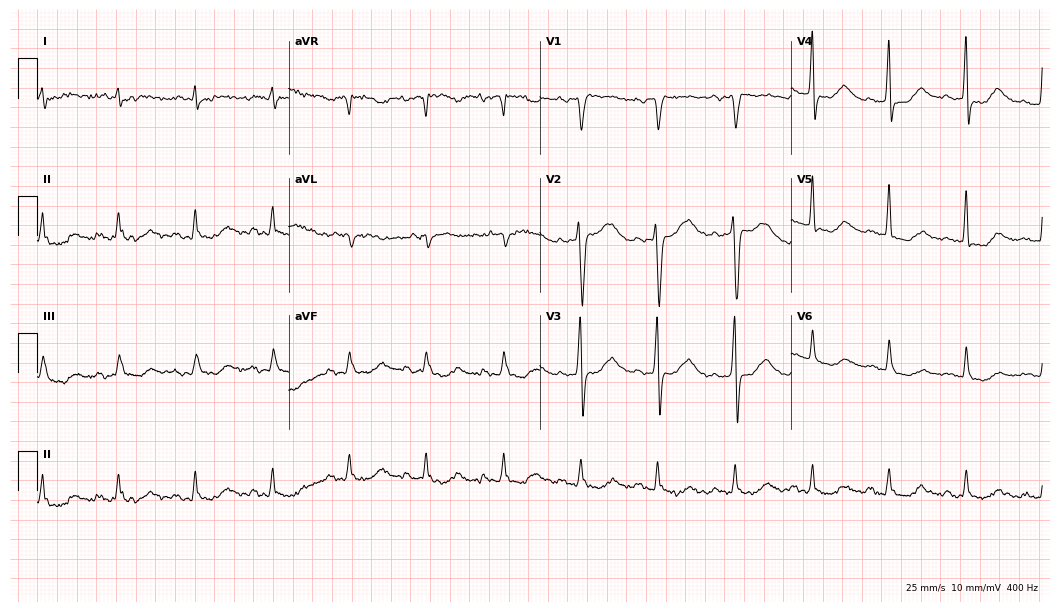
Electrocardiogram (10.2-second recording at 400 Hz), a male patient, 49 years old. Of the six screened findings (first-degree AV block, right bundle branch block (RBBB), left bundle branch block (LBBB), sinus bradycardia, atrial fibrillation (AF), sinus tachycardia), none is recorded.